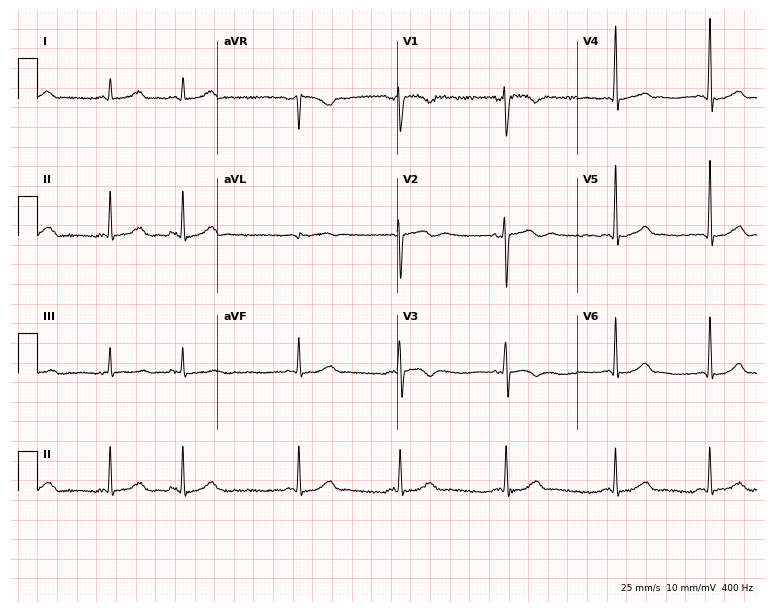
12-lead ECG from an 18-year-old male. Recorded interpretation: within normal limits.